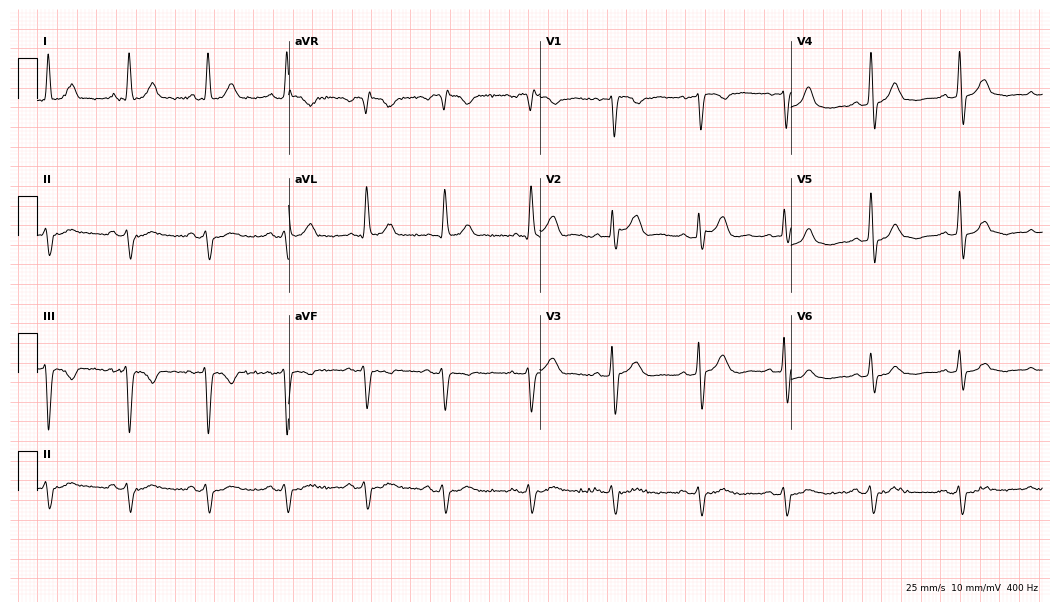
Standard 12-lead ECG recorded from a male patient, 85 years old. None of these six findings is recorded: first-degree AV block, right bundle branch block, left bundle branch block, sinus bradycardia, atrial fibrillation, sinus tachycardia.